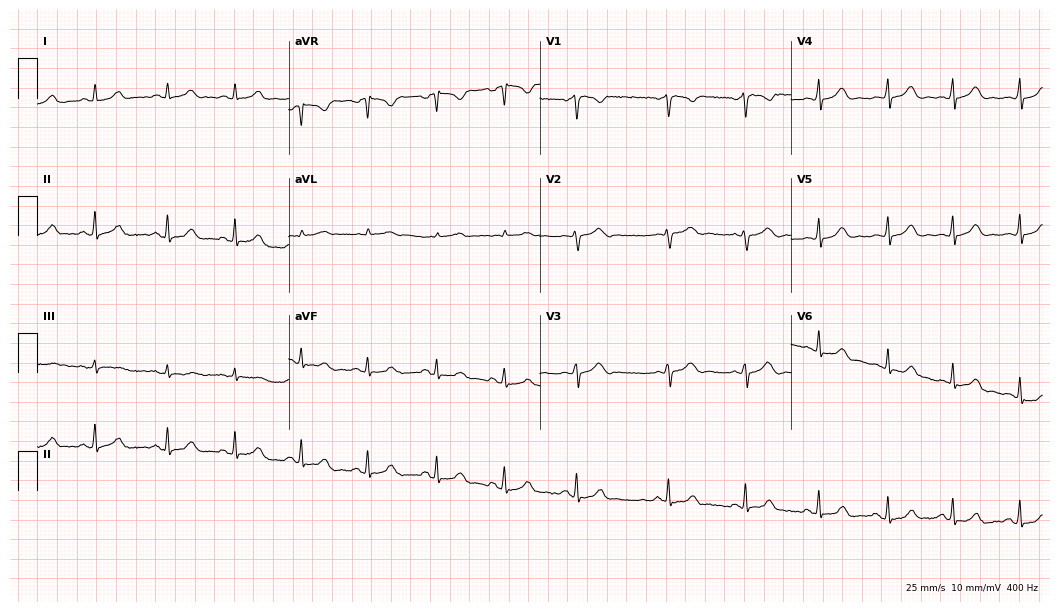
12-lead ECG from a female patient, 18 years old (10.2-second recording at 400 Hz). Recorded interpretation: within normal limits.